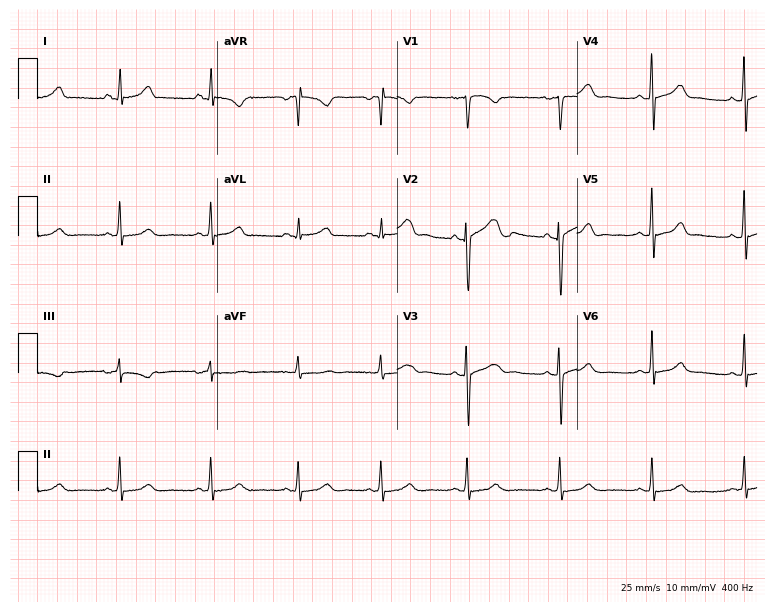
12-lead ECG from a woman, 35 years old. Recorded interpretation: within normal limits.